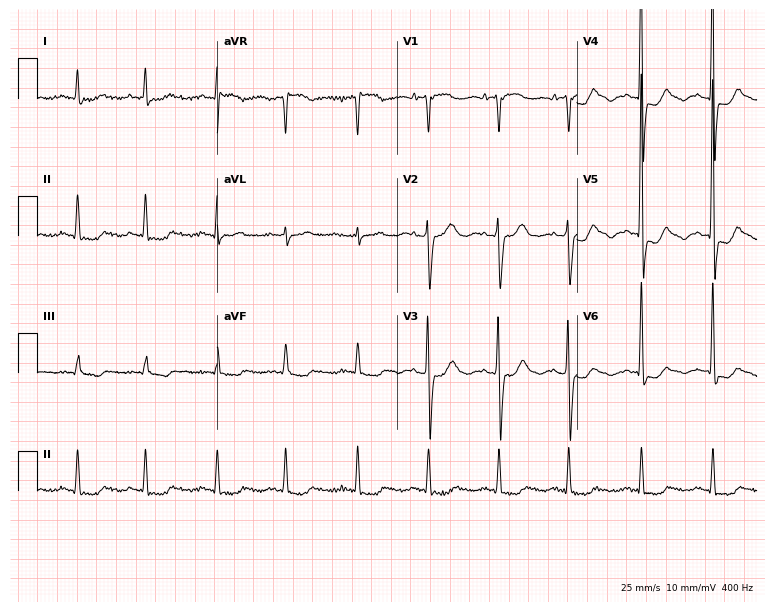
12-lead ECG from a male, 70 years old. Screened for six findings — first-degree AV block, right bundle branch block (RBBB), left bundle branch block (LBBB), sinus bradycardia, atrial fibrillation (AF), sinus tachycardia — none is recorded.